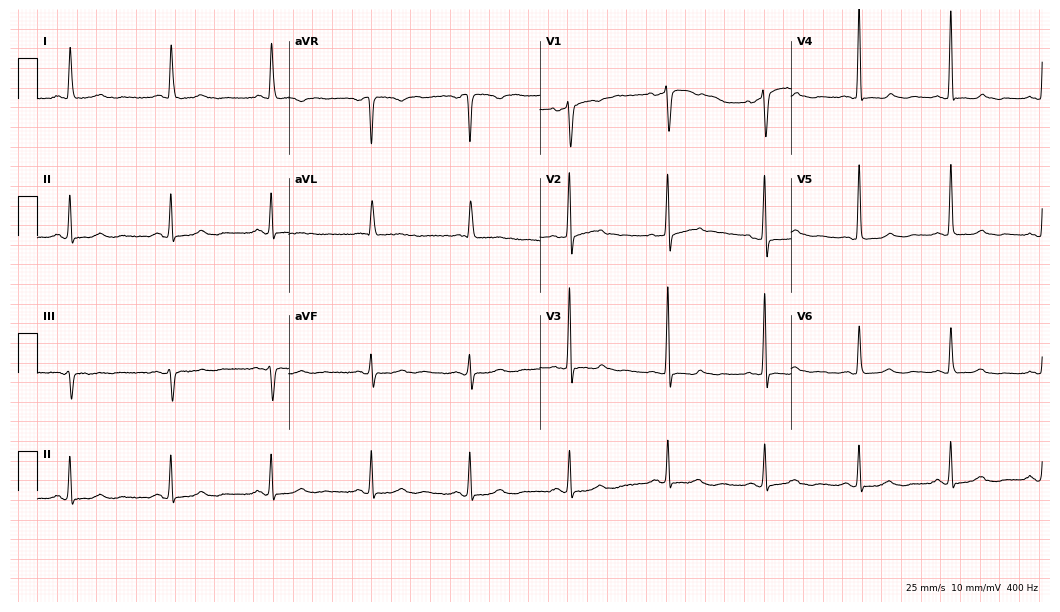
ECG (10.2-second recording at 400 Hz) — a 70-year-old male patient. Labelled as a normal ECG.